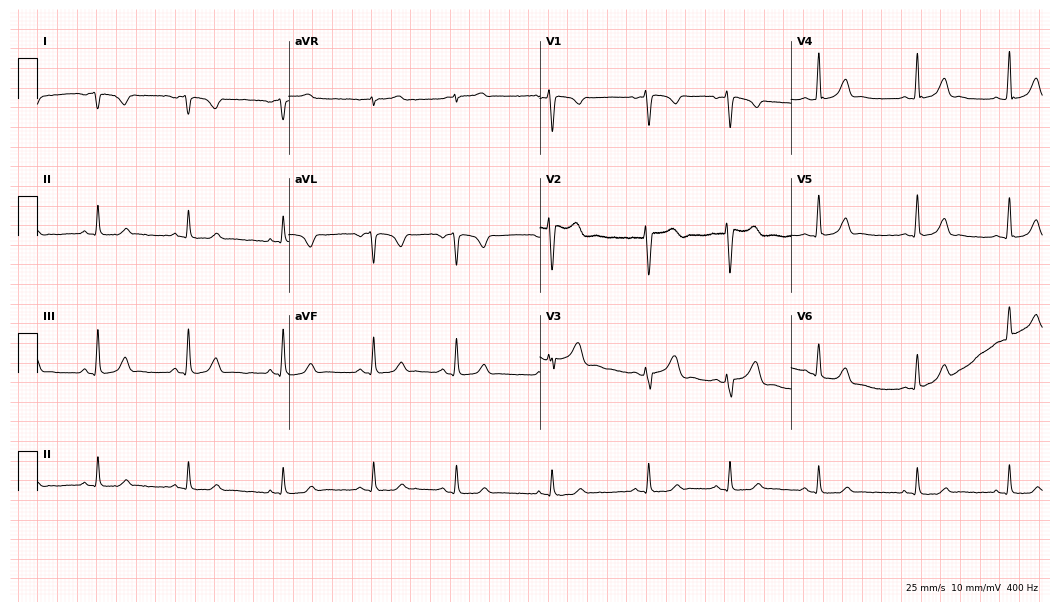
Resting 12-lead electrocardiogram. Patient: a female, 28 years old. None of these six findings is recorded: first-degree AV block, right bundle branch block (RBBB), left bundle branch block (LBBB), sinus bradycardia, atrial fibrillation (AF), sinus tachycardia.